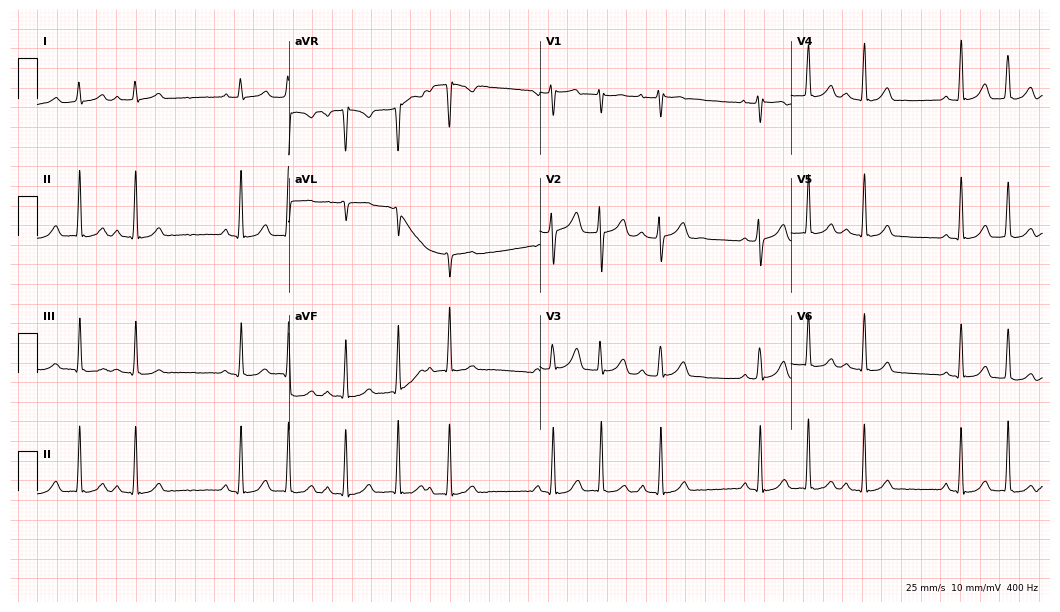
Standard 12-lead ECG recorded from a female, 21 years old (10.2-second recording at 400 Hz). None of these six findings is recorded: first-degree AV block, right bundle branch block, left bundle branch block, sinus bradycardia, atrial fibrillation, sinus tachycardia.